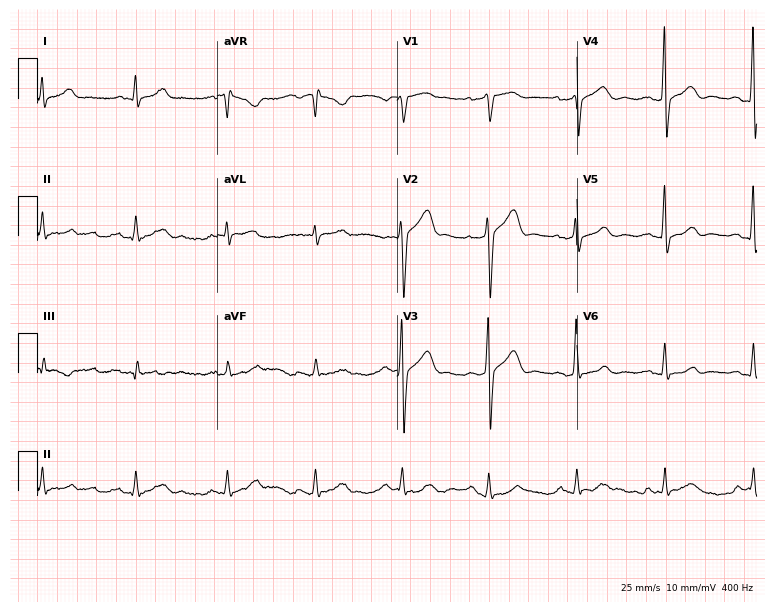
12-lead ECG from a 48-year-old male patient. No first-degree AV block, right bundle branch block (RBBB), left bundle branch block (LBBB), sinus bradycardia, atrial fibrillation (AF) or sinus tachycardia recorded for this tracing.